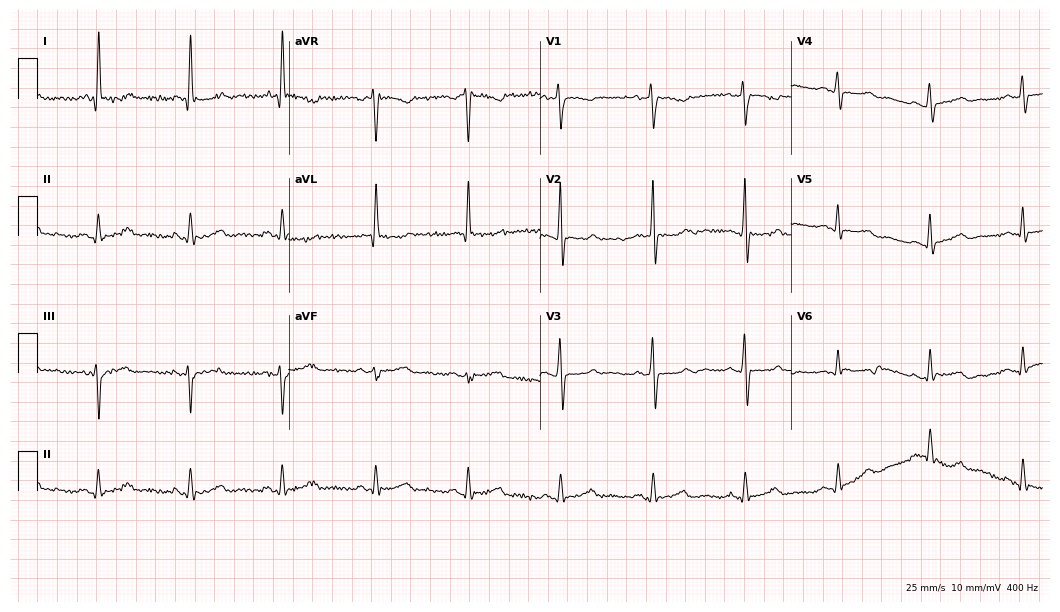
12-lead ECG from a female, 75 years old. Screened for six findings — first-degree AV block, right bundle branch block, left bundle branch block, sinus bradycardia, atrial fibrillation, sinus tachycardia — none is recorded.